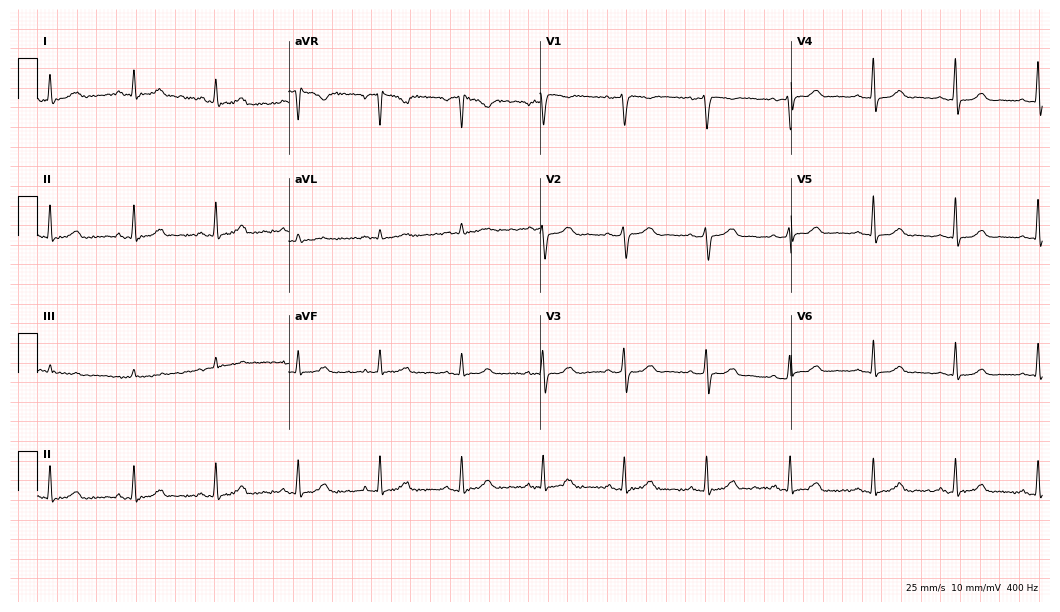
12-lead ECG from a 47-year-old female patient (10.2-second recording at 400 Hz). Recorded interpretation: within normal limits.